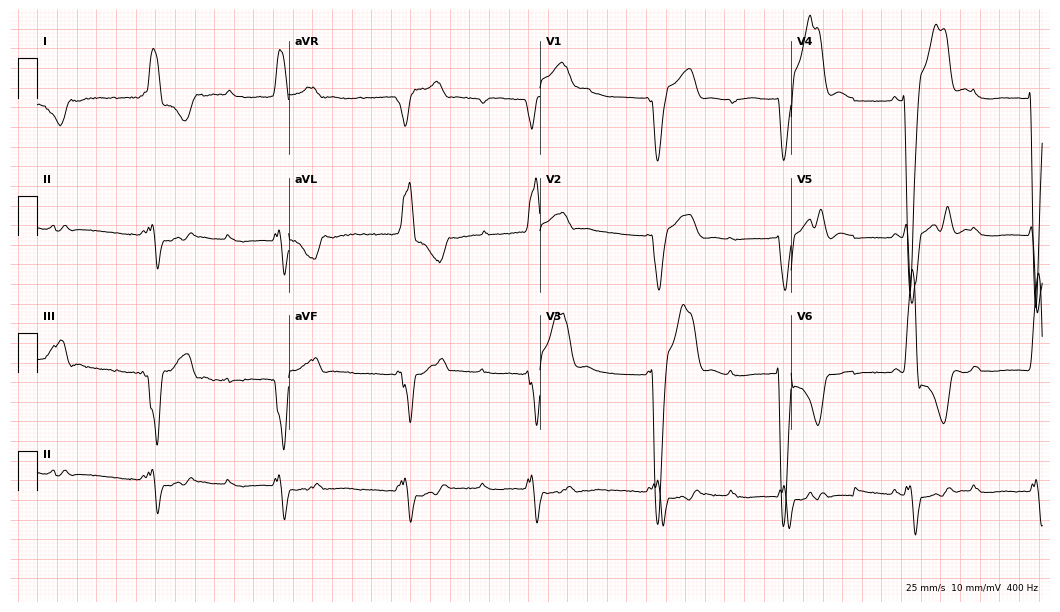
Resting 12-lead electrocardiogram (10.2-second recording at 400 Hz). Patient: a man, 50 years old. None of these six findings is recorded: first-degree AV block, right bundle branch block, left bundle branch block, sinus bradycardia, atrial fibrillation, sinus tachycardia. Only these six findings were labelled.